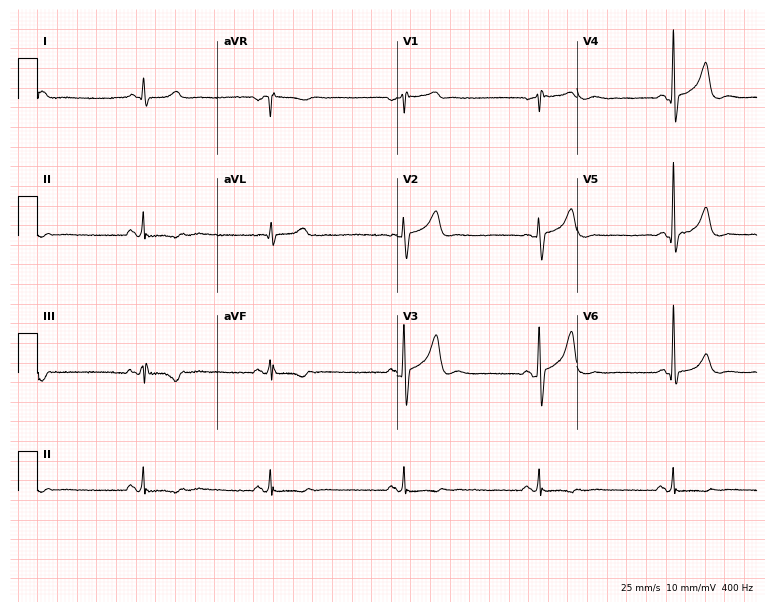
12-lead ECG from a 59-year-old male (7.3-second recording at 400 Hz). Shows sinus bradycardia (a sinus rate of 50 beats per minute or less).